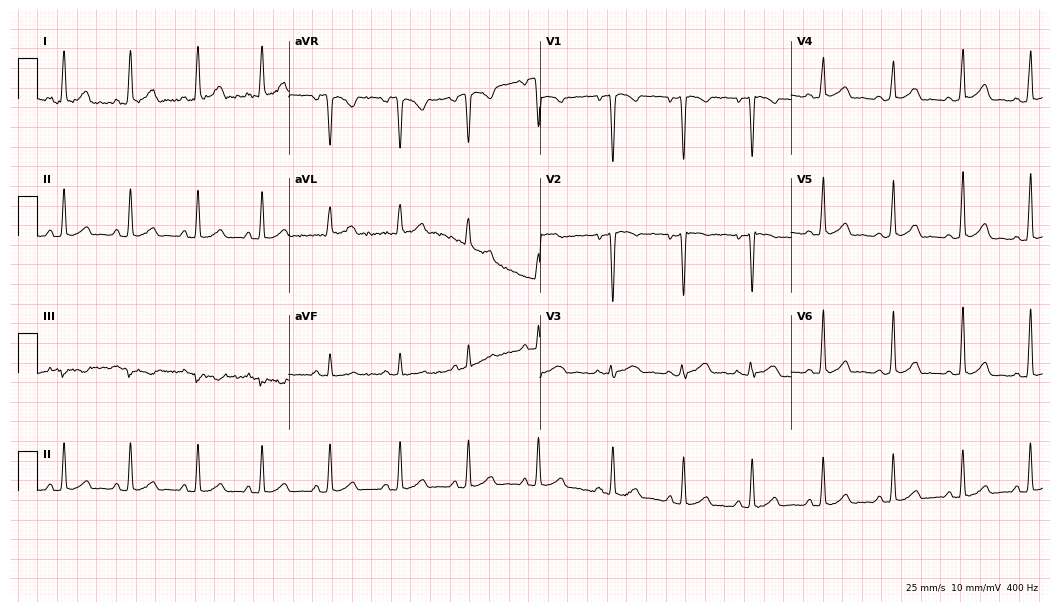
12-lead ECG from a woman, 24 years old (10.2-second recording at 400 Hz). Recorded interpretation: within normal limits.